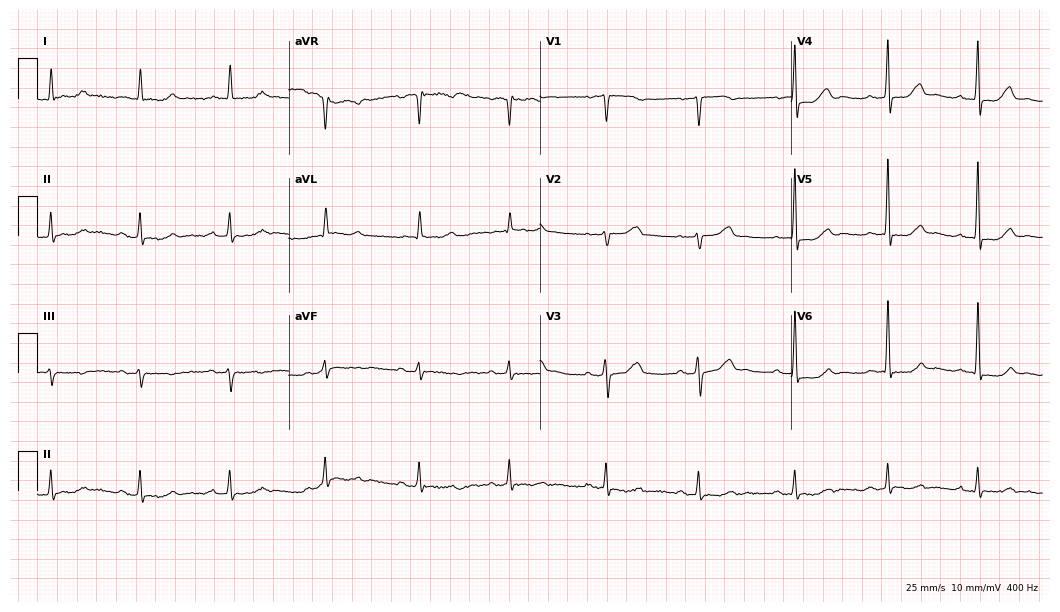
12-lead ECG from a 65-year-old female patient. Recorded interpretation: within normal limits.